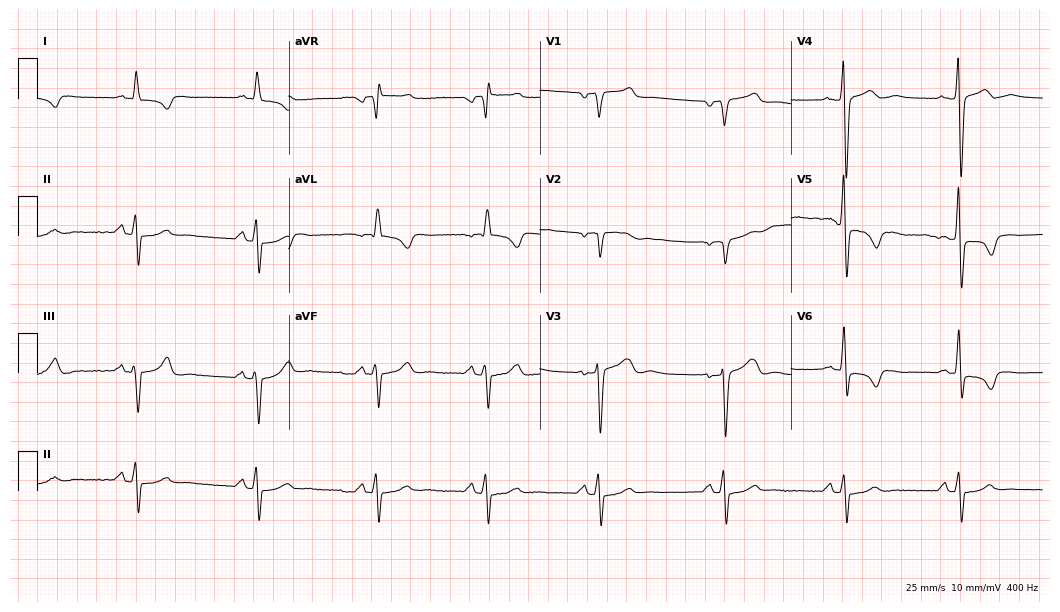
Electrocardiogram (10.2-second recording at 400 Hz), a 53-year-old male. Of the six screened findings (first-degree AV block, right bundle branch block (RBBB), left bundle branch block (LBBB), sinus bradycardia, atrial fibrillation (AF), sinus tachycardia), none is recorded. Findings outside these six are not listed.